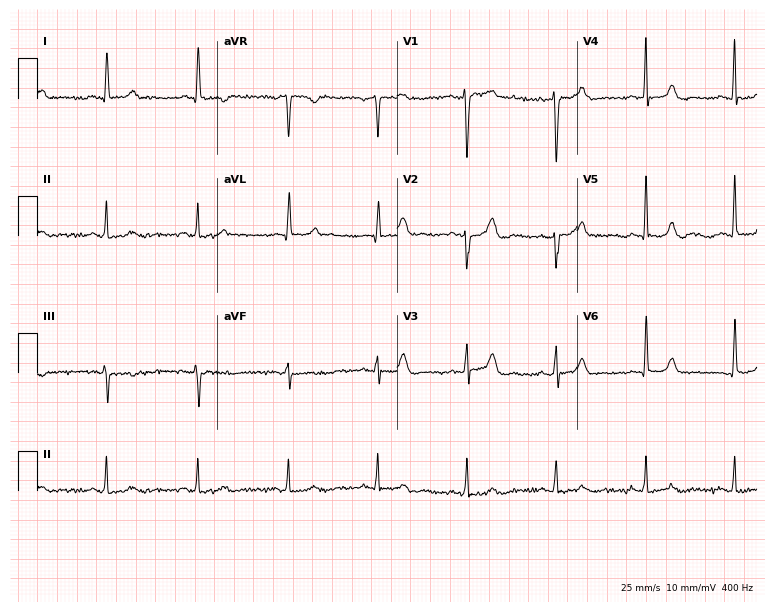
ECG (7.3-second recording at 400 Hz) — a woman, 48 years old. Labelled as a normal ECG.